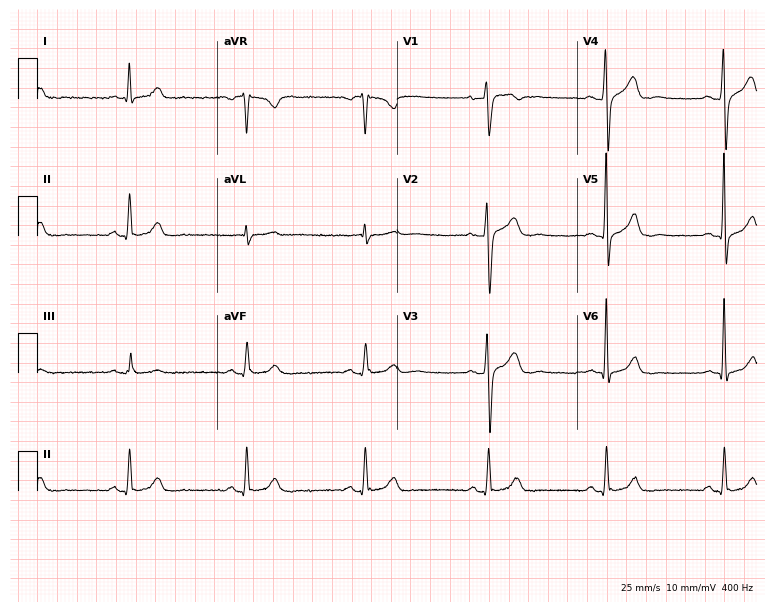
Resting 12-lead electrocardiogram. Patient: a 51-year-old man. The tracing shows sinus bradycardia (a sinus rate of 50 beats per minute or less).